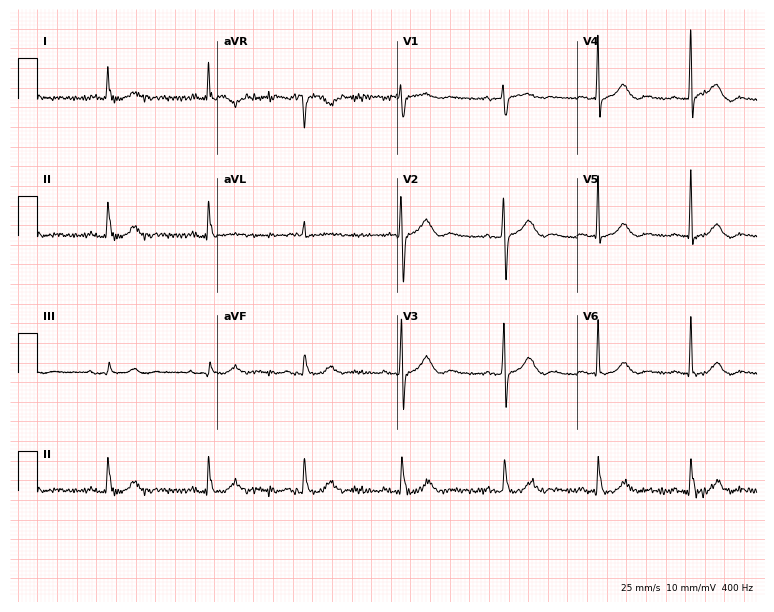
ECG — a 70-year-old woman. Labelled as a normal ECG.